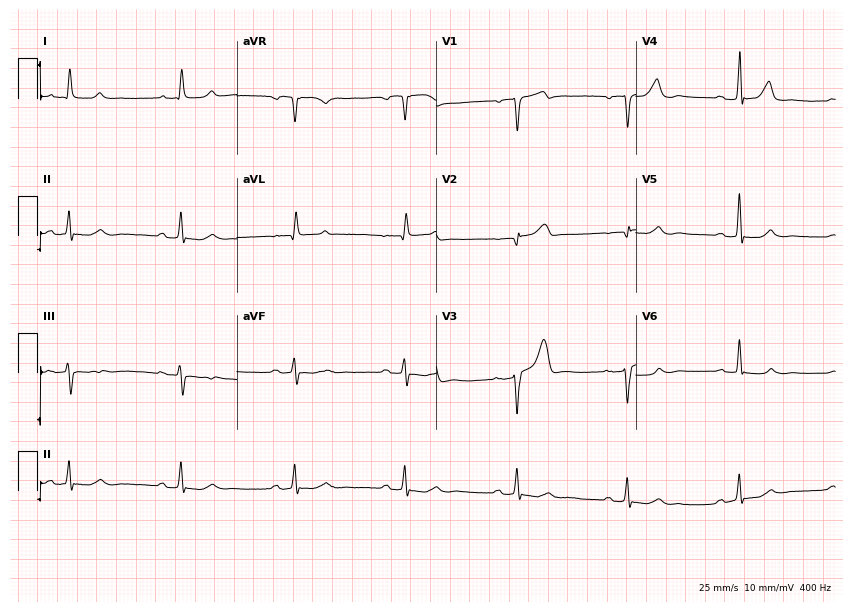
ECG (8.1-second recording at 400 Hz) — a male, 82 years old. Screened for six findings — first-degree AV block, right bundle branch block (RBBB), left bundle branch block (LBBB), sinus bradycardia, atrial fibrillation (AF), sinus tachycardia — none is recorded.